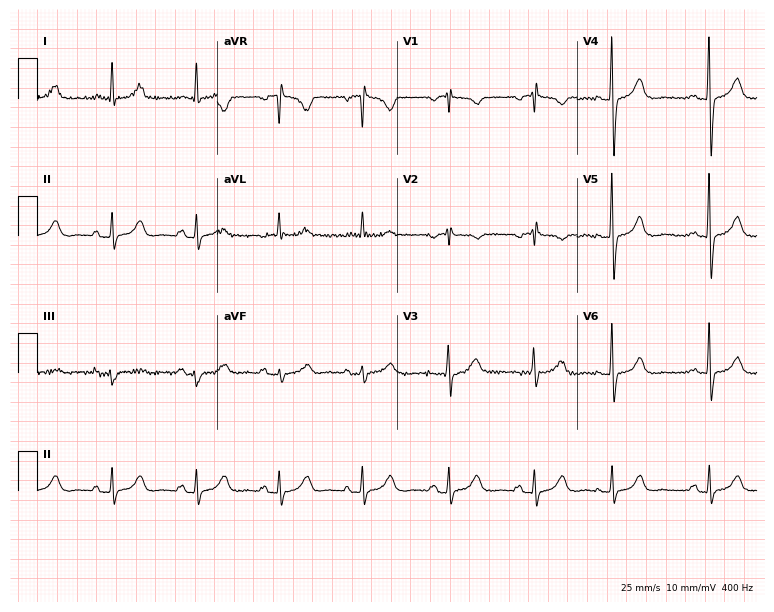
ECG — a 71-year-old woman. Screened for six findings — first-degree AV block, right bundle branch block, left bundle branch block, sinus bradycardia, atrial fibrillation, sinus tachycardia — none is recorded. Only these six findings were labelled.